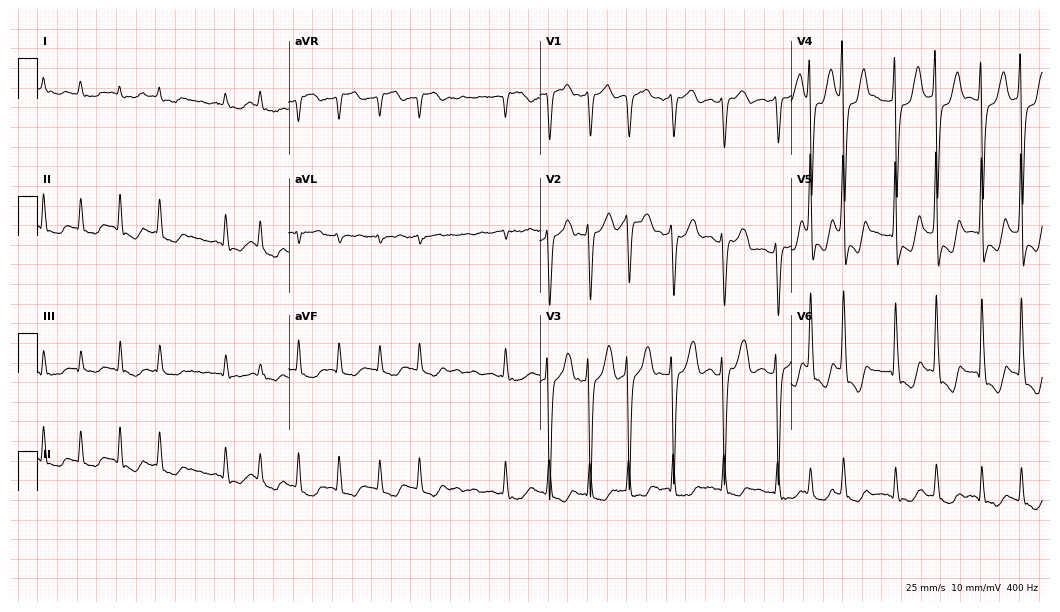
ECG (10.2-second recording at 400 Hz) — a female, 83 years old. Findings include atrial fibrillation.